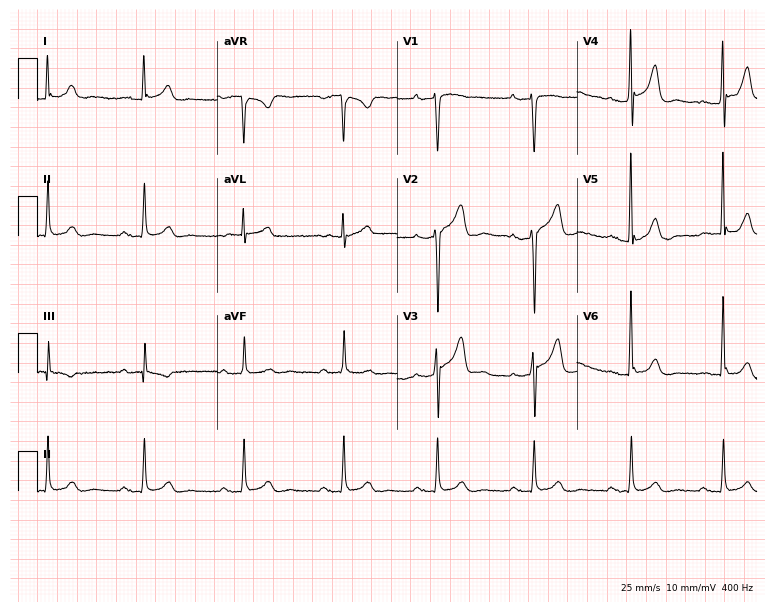
Standard 12-lead ECG recorded from a 64-year-old male patient. None of these six findings is recorded: first-degree AV block, right bundle branch block, left bundle branch block, sinus bradycardia, atrial fibrillation, sinus tachycardia.